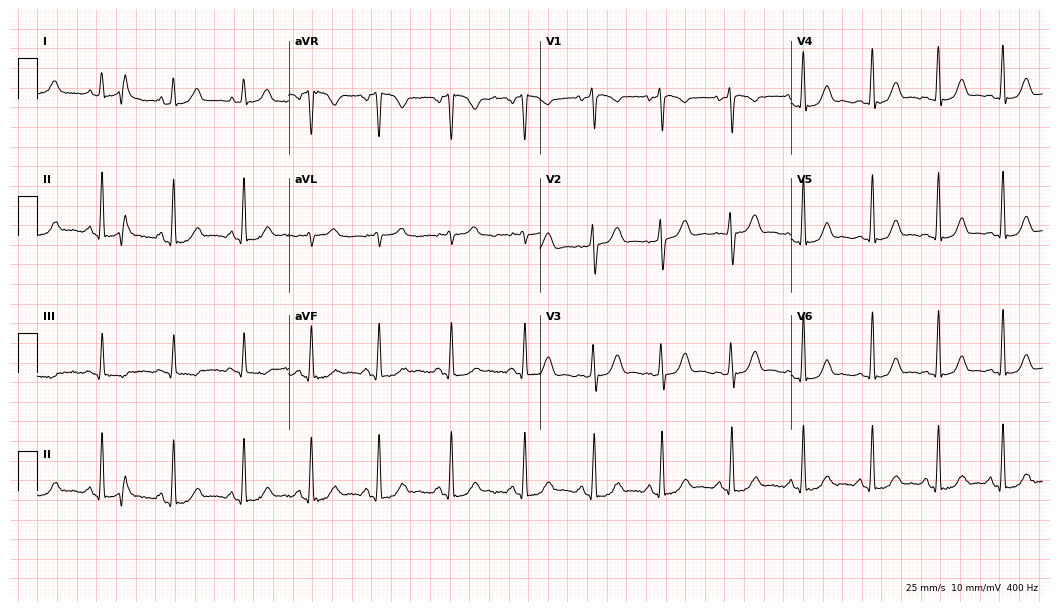
12-lead ECG (10.2-second recording at 400 Hz) from a 38-year-old female. Screened for six findings — first-degree AV block, right bundle branch block, left bundle branch block, sinus bradycardia, atrial fibrillation, sinus tachycardia — none is recorded.